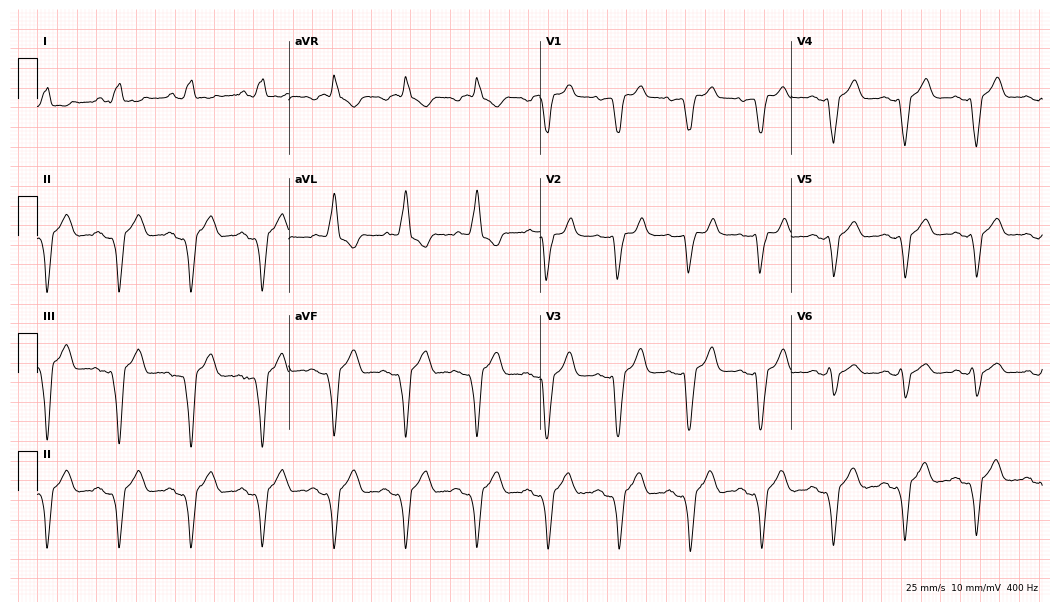
12-lead ECG from a male, 83 years old. Shows left bundle branch block (LBBB).